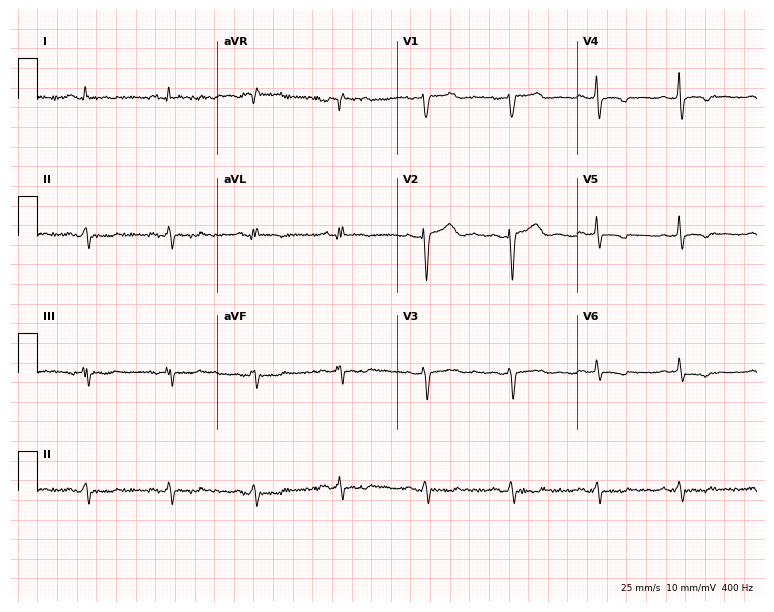
Resting 12-lead electrocardiogram (7.3-second recording at 400 Hz). Patient: a 42-year-old female. None of these six findings is recorded: first-degree AV block, right bundle branch block, left bundle branch block, sinus bradycardia, atrial fibrillation, sinus tachycardia.